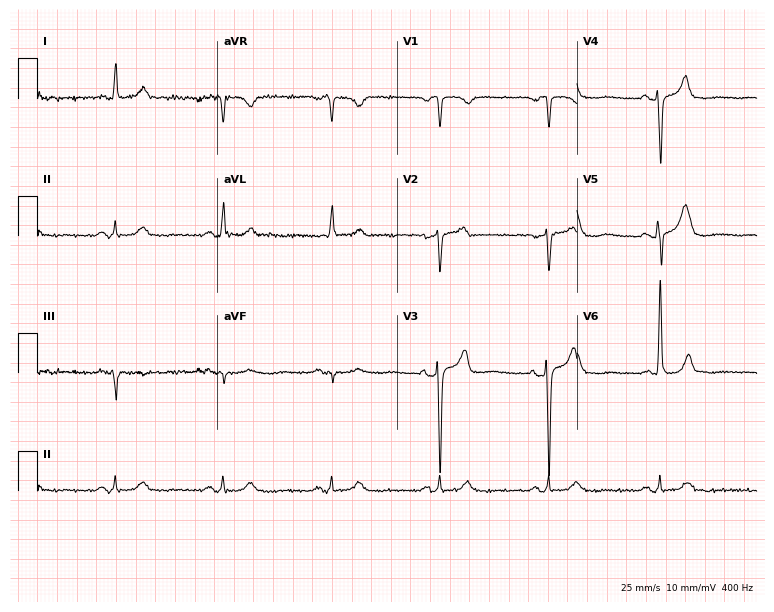
Standard 12-lead ECG recorded from an 81-year-old man. None of these six findings is recorded: first-degree AV block, right bundle branch block (RBBB), left bundle branch block (LBBB), sinus bradycardia, atrial fibrillation (AF), sinus tachycardia. Other findings, if any, are not listed.